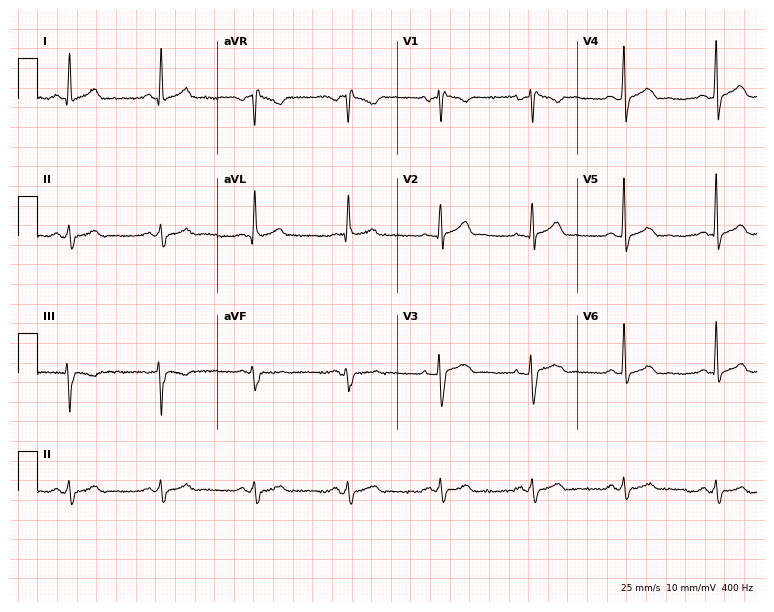
Electrocardiogram (7.3-second recording at 400 Hz), a 43-year-old man. Of the six screened findings (first-degree AV block, right bundle branch block (RBBB), left bundle branch block (LBBB), sinus bradycardia, atrial fibrillation (AF), sinus tachycardia), none is recorded. Findings outside these six are not listed.